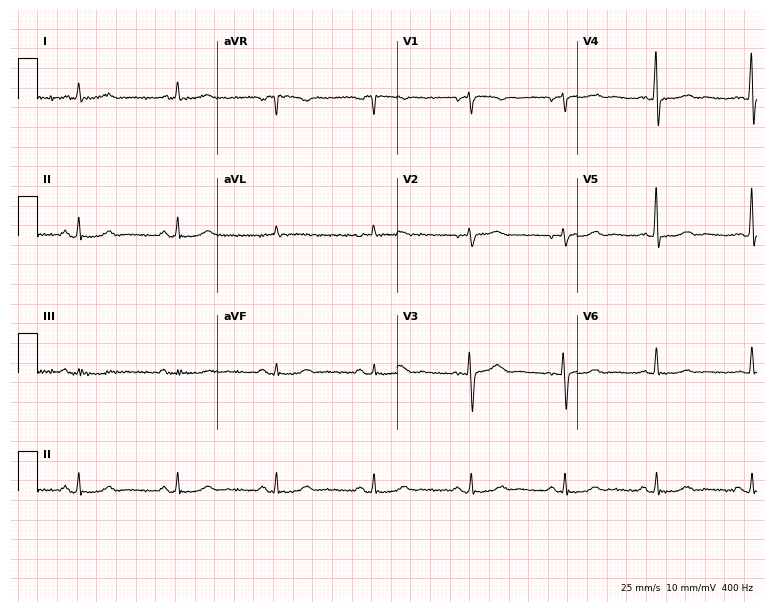
ECG — a female, 60 years old. Screened for six findings — first-degree AV block, right bundle branch block, left bundle branch block, sinus bradycardia, atrial fibrillation, sinus tachycardia — none is recorded.